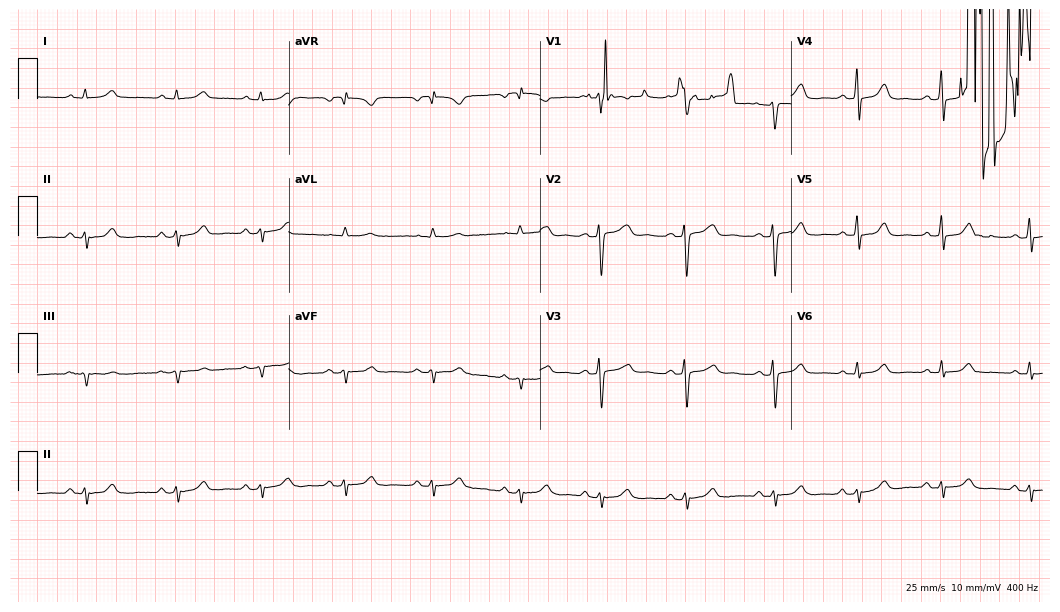
Standard 12-lead ECG recorded from a female patient, 47 years old. None of these six findings is recorded: first-degree AV block, right bundle branch block (RBBB), left bundle branch block (LBBB), sinus bradycardia, atrial fibrillation (AF), sinus tachycardia. Only these six findings were labelled.